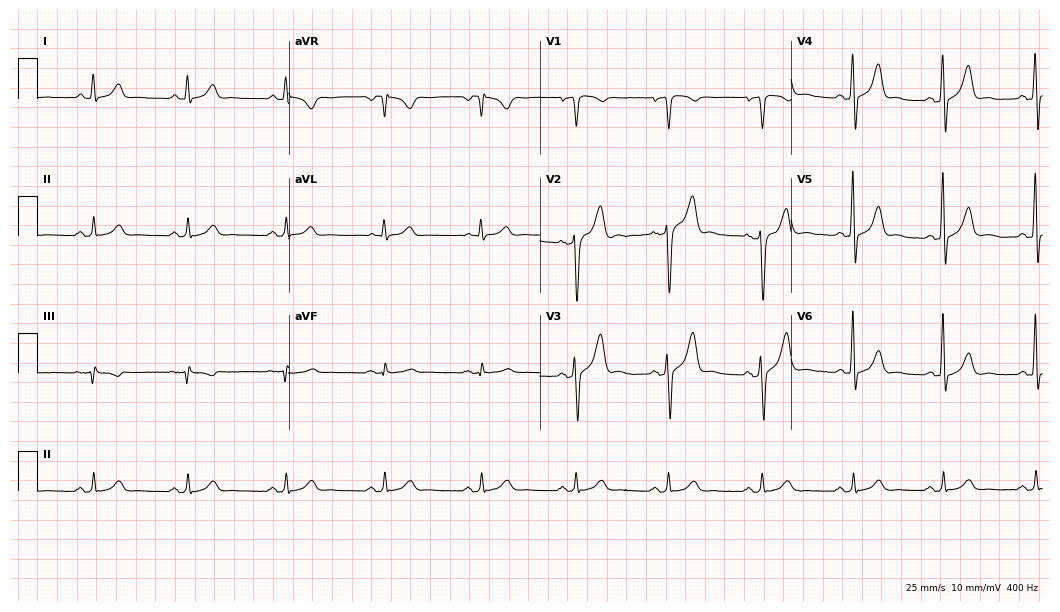
Electrocardiogram (10.2-second recording at 400 Hz), a man, 56 years old. Overall reading on record: normal ECG.